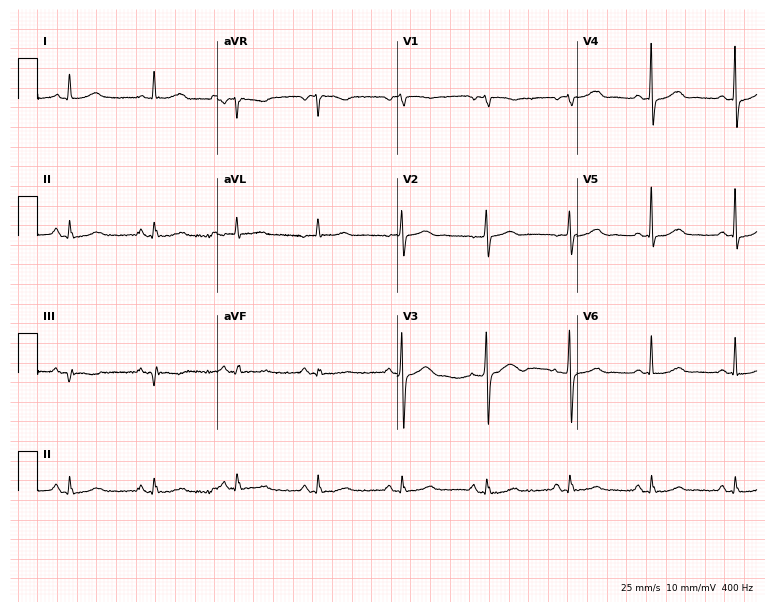
ECG (7.3-second recording at 400 Hz) — an 84-year-old female. Screened for six findings — first-degree AV block, right bundle branch block, left bundle branch block, sinus bradycardia, atrial fibrillation, sinus tachycardia — none is recorded. Only these six findings were labelled.